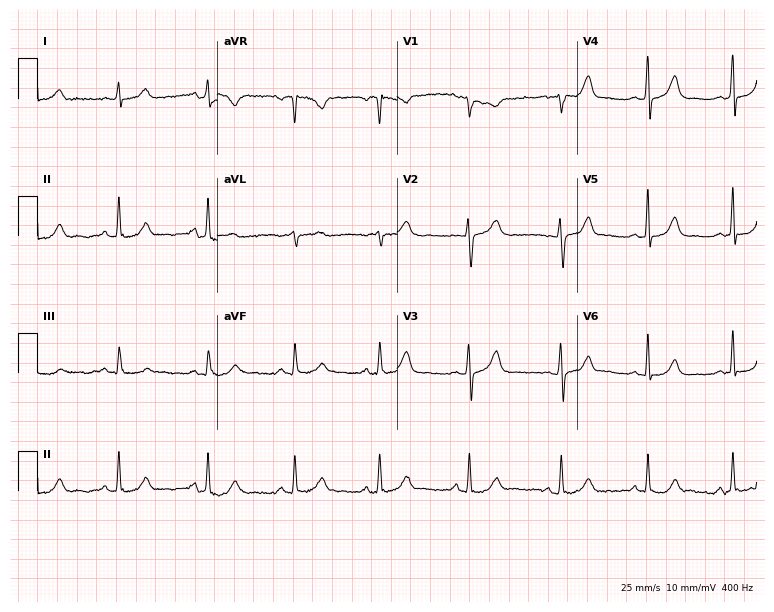
Electrocardiogram (7.3-second recording at 400 Hz), a female, 32 years old. Overall reading on record: normal ECG.